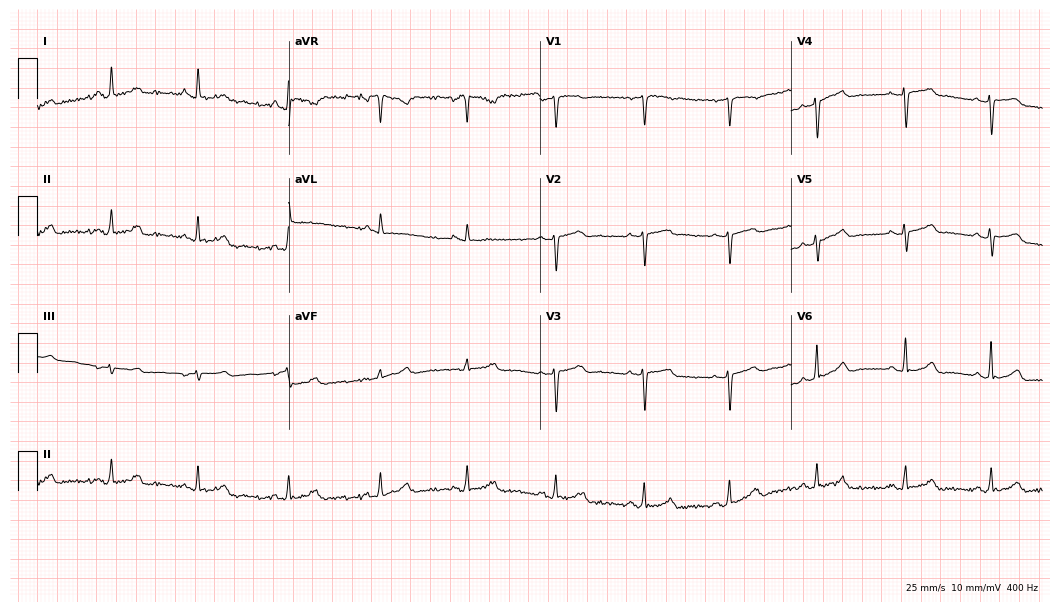
12-lead ECG (10.2-second recording at 400 Hz) from a 46-year-old female patient. Screened for six findings — first-degree AV block, right bundle branch block, left bundle branch block, sinus bradycardia, atrial fibrillation, sinus tachycardia — none is recorded. Findings outside these six are not listed.